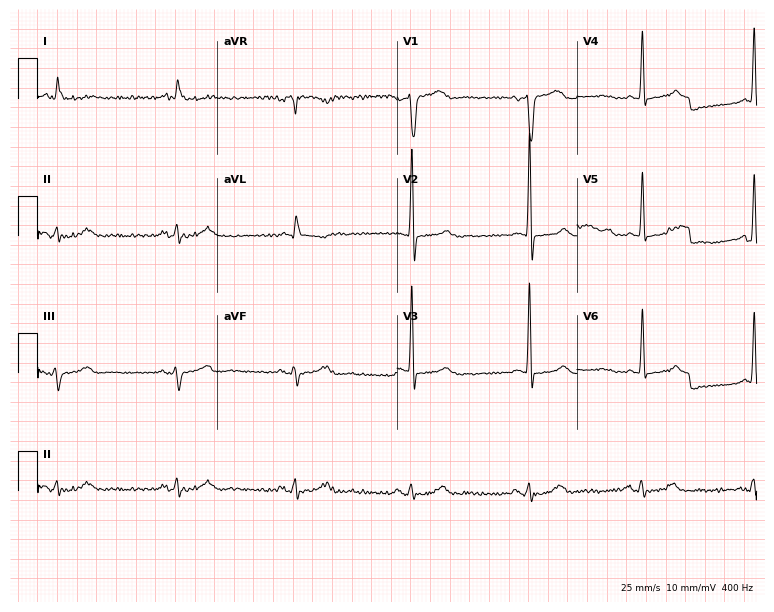
12-lead ECG (7.3-second recording at 400 Hz) from a man, 79 years old. Screened for six findings — first-degree AV block, right bundle branch block (RBBB), left bundle branch block (LBBB), sinus bradycardia, atrial fibrillation (AF), sinus tachycardia — none is recorded. Other findings, if any, are not listed.